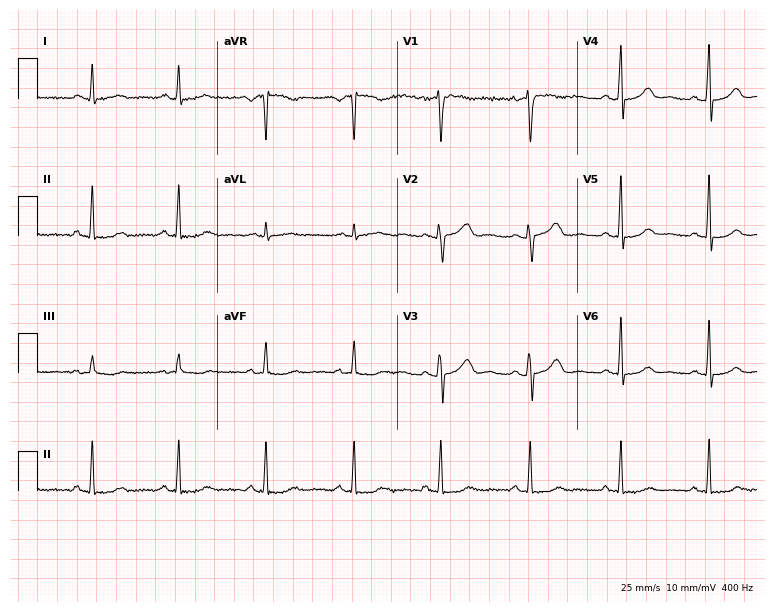
12-lead ECG from a 46-year-old female. Screened for six findings — first-degree AV block, right bundle branch block (RBBB), left bundle branch block (LBBB), sinus bradycardia, atrial fibrillation (AF), sinus tachycardia — none is recorded.